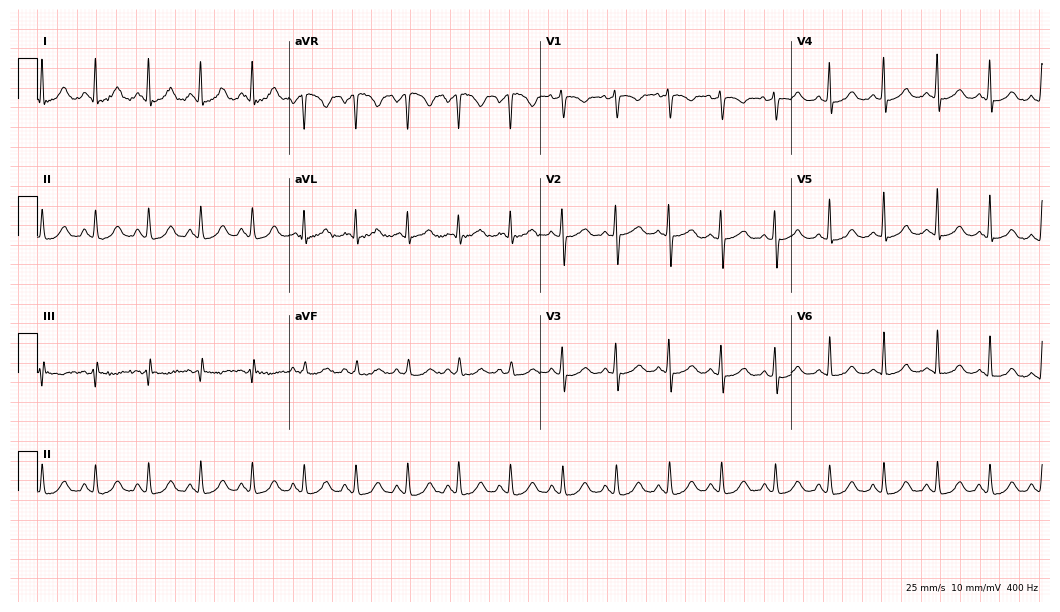
Standard 12-lead ECG recorded from a female, 28 years old (10.2-second recording at 400 Hz). None of these six findings is recorded: first-degree AV block, right bundle branch block (RBBB), left bundle branch block (LBBB), sinus bradycardia, atrial fibrillation (AF), sinus tachycardia. Findings outside these six are not listed.